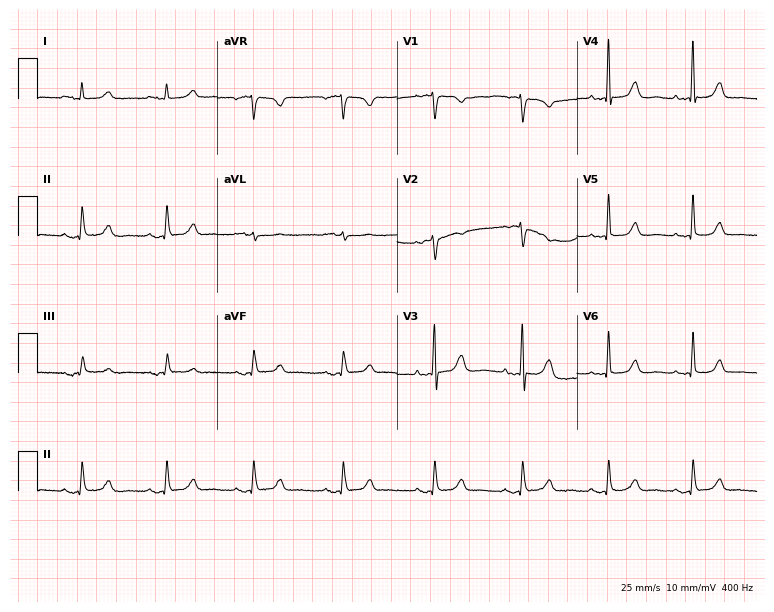
Resting 12-lead electrocardiogram. Patient: a 72-year-old female. Read as a normal ECG.